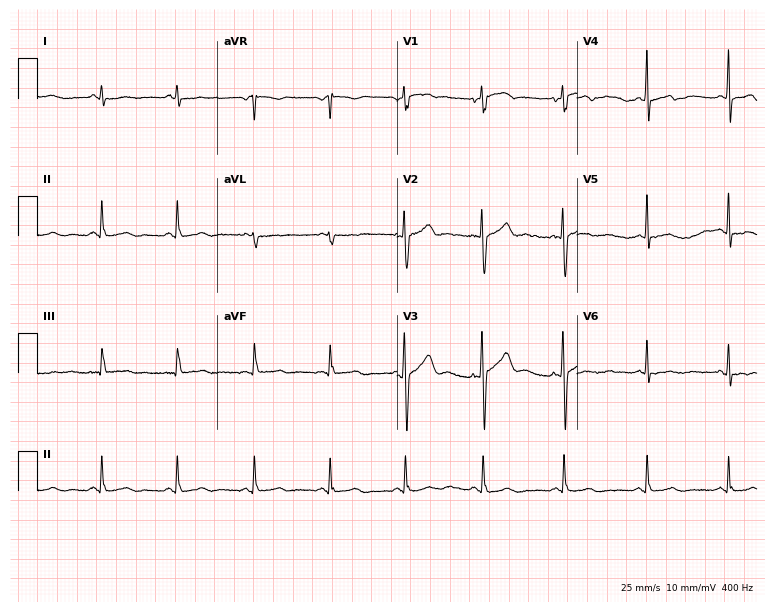
Standard 12-lead ECG recorded from a female patient, 32 years old (7.3-second recording at 400 Hz). None of these six findings is recorded: first-degree AV block, right bundle branch block, left bundle branch block, sinus bradycardia, atrial fibrillation, sinus tachycardia. Findings outside these six are not listed.